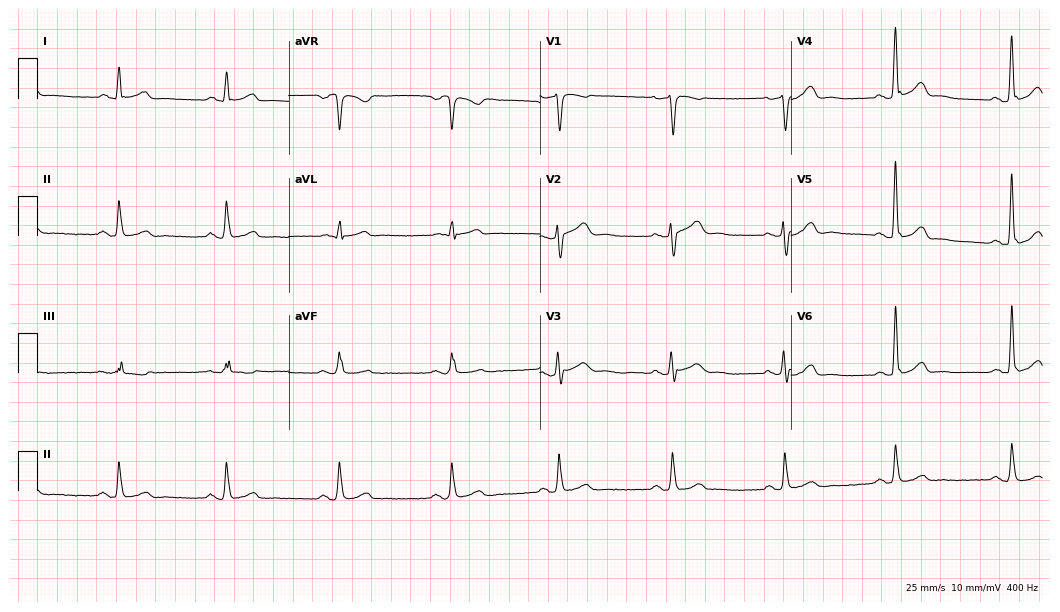
ECG — a 57-year-old man. Screened for six findings — first-degree AV block, right bundle branch block, left bundle branch block, sinus bradycardia, atrial fibrillation, sinus tachycardia — none is recorded. Only these six findings were labelled.